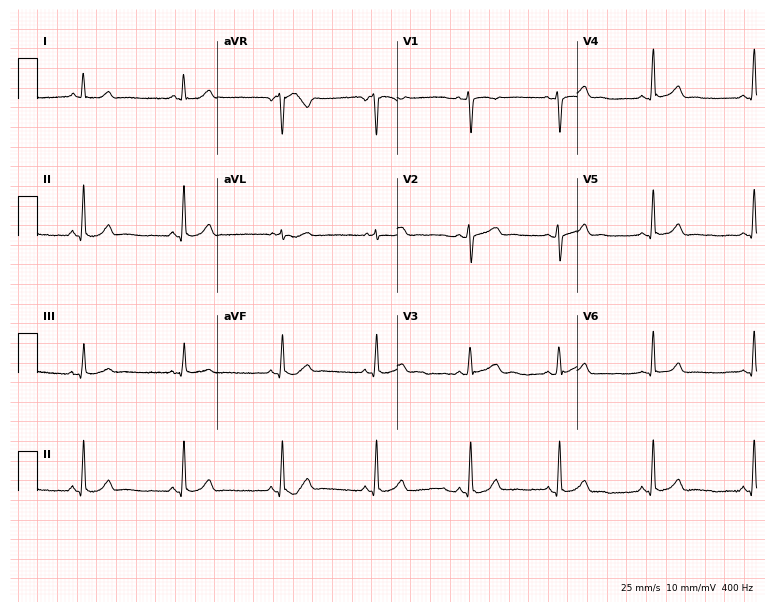
ECG (7.3-second recording at 400 Hz) — a woman, 22 years old. Labelled as a normal ECG.